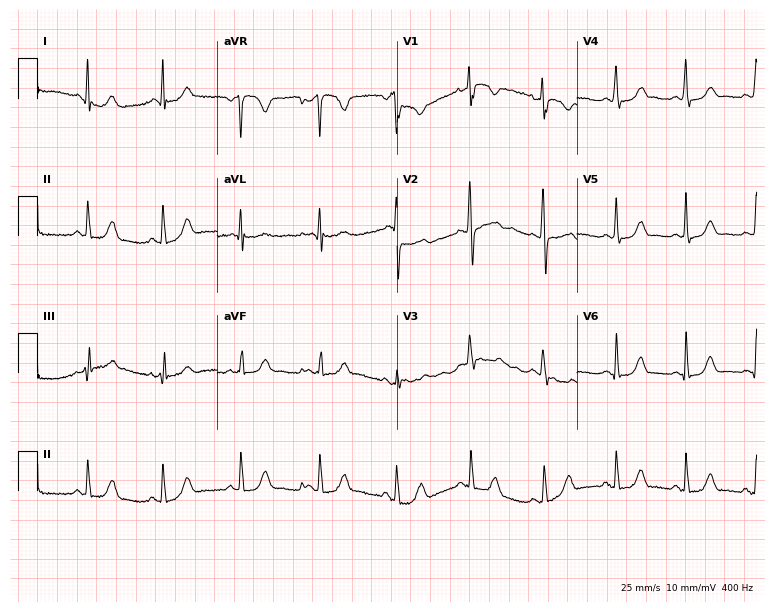
12-lead ECG (7.3-second recording at 400 Hz) from a 25-year-old female patient. Labelled as a normal ECG.